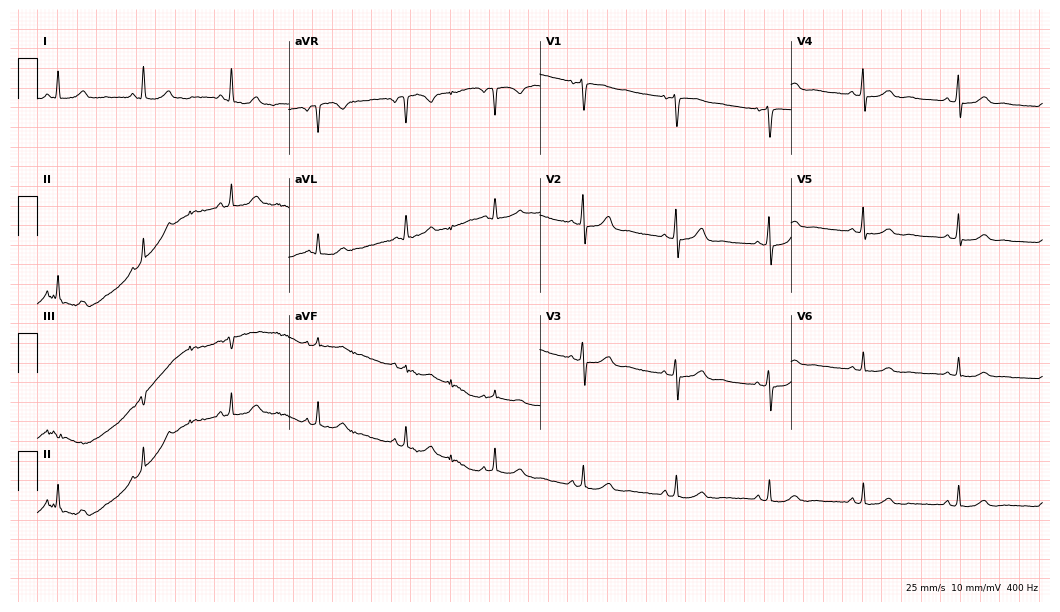
Electrocardiogram (10.2-second recording at 400 Hz), a 58-year-old female patient. Overall reading on record: normal ECG.